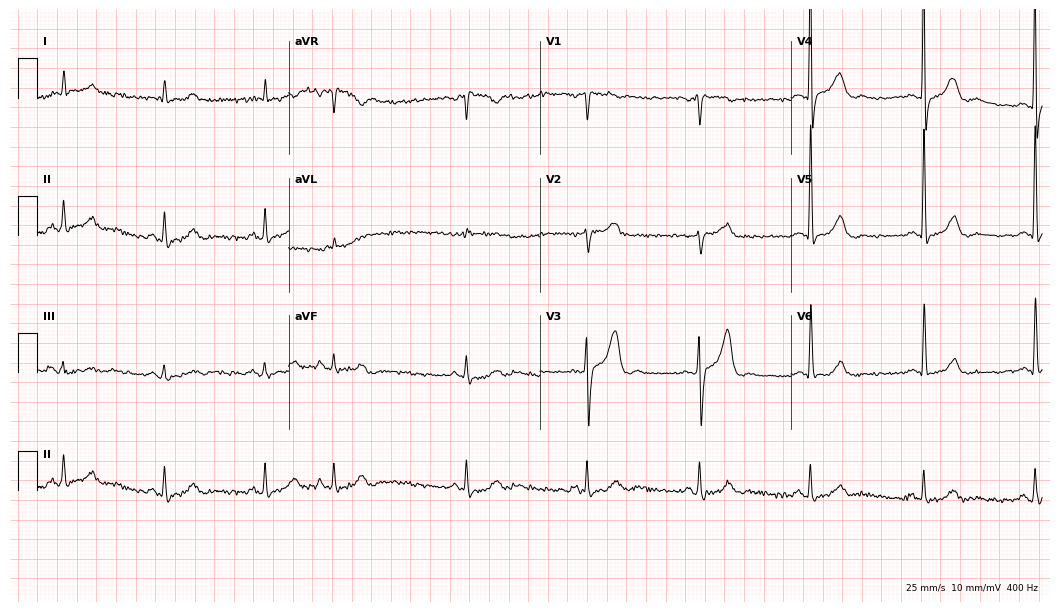
Resting 12-lead electrocardiogram (10.2-second recording at 400 Hz). Patient: a 74-year-old male. None of these six findings is recorded: first-degree AV block, right bundle branch block, left bundle branch block, sinus bradycardia, atrial fibrillation, sinus tachycardia. Other findings, if any, are not listed.